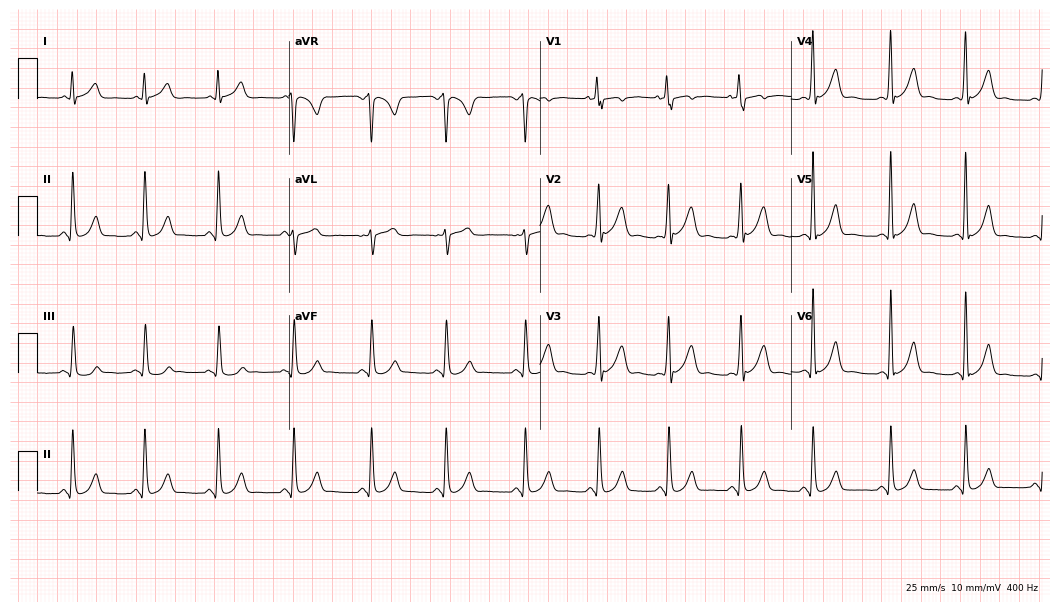
Resting 12-lead electrocardiogram (10.2-second recording at 400 Hz). Patient: a male, 30 years old. None of these six findings is recorded: first-degree AV block, right bundle branch block, left bundle branch block, sinus bradycardia, atrial fibrillation, sinus tachycardia. Findings outside these six are not listed.